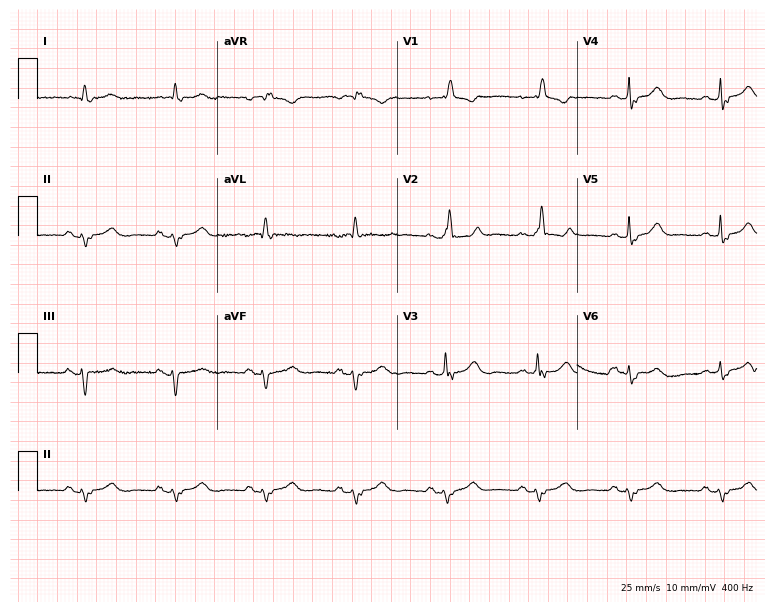
12-lead ECG from a woman, 77 years old (7.3-second recording at 400 Hz). Shows right bundle branch block.